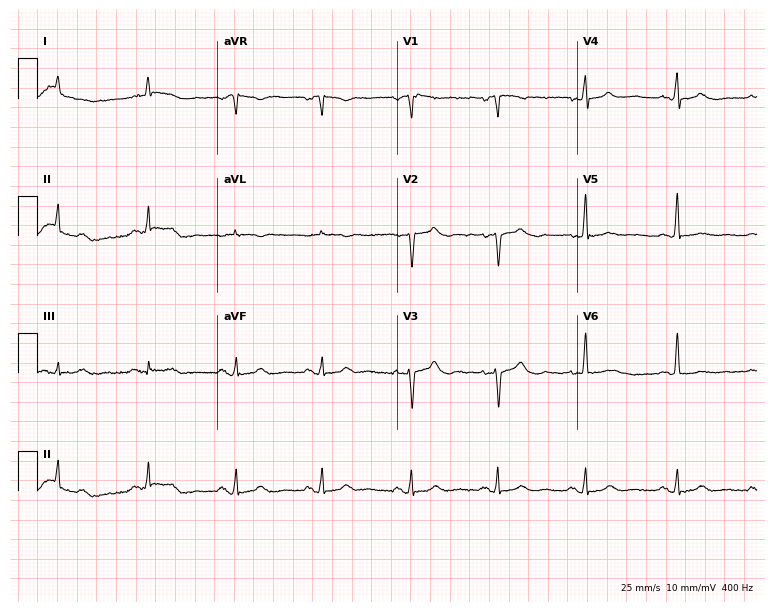
Electrocardiogram (7.3-second recording at 400 Hz), a female, 68 years old. Overall reading on record: normal ECG.